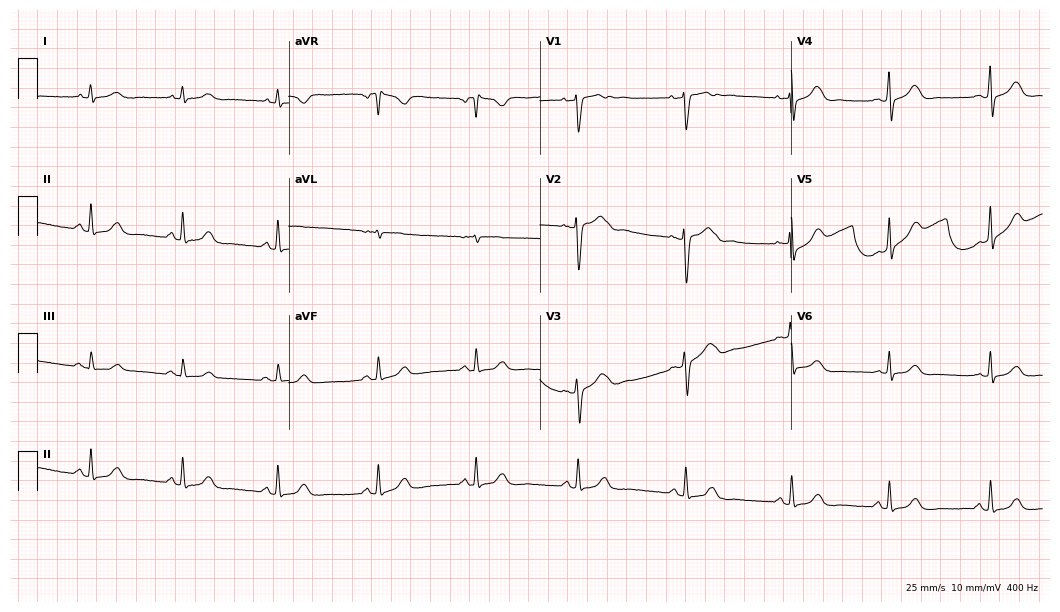
ECG — a woman, 40 years old. Screened for six findings — first-degree AV block, right bundle branch block (RBBB), left bundle branch block (LBBB), sinus bradycardia, atrial fibrillation (AF), sinus tachycardia — none is recorded.